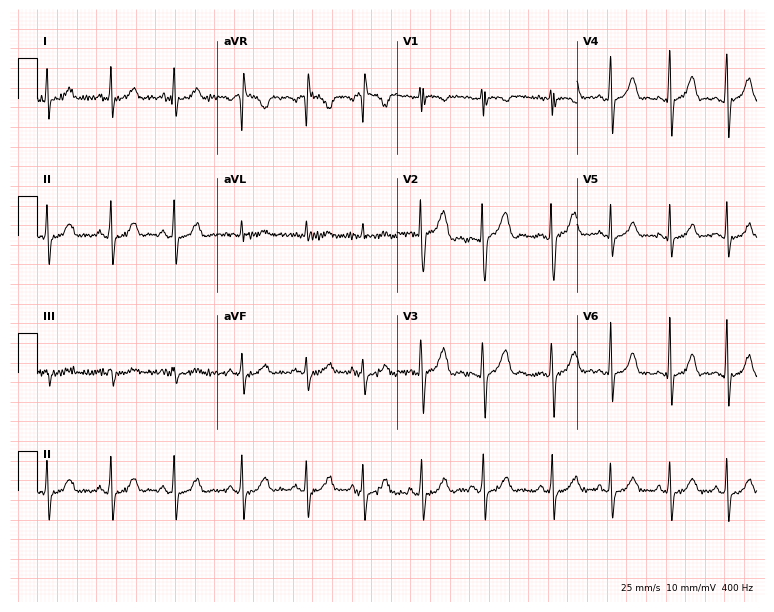
Standard 12-lead ECG recorded from a female, 17 years old. Read as a normal ECG.